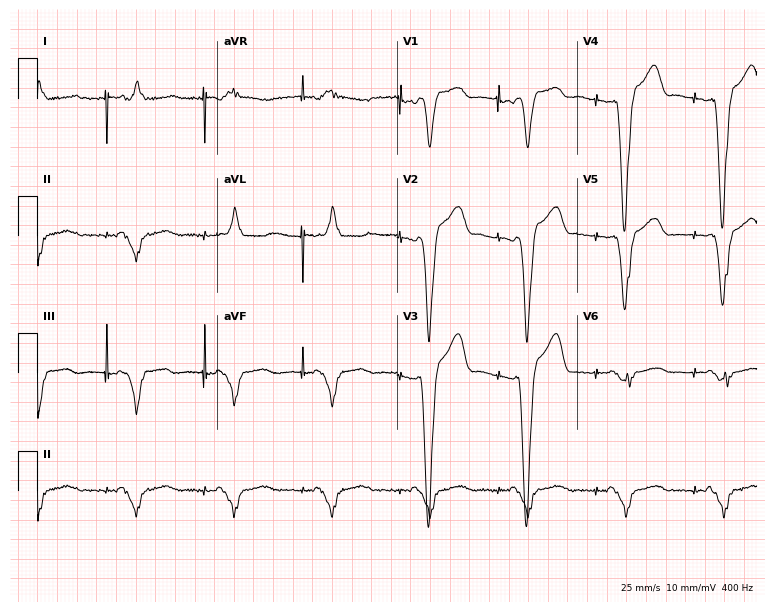
Standard 12-lead ECG recorded from a 50-year-old male (7.3-second recording at 400 Hz). None of these six findings is recorded: first-degree AV block, right bundle branch block, left bundle branch block, sinus bradycardia, atrial fibrillation, sinus tachycardia. Only these six findings were labelled.